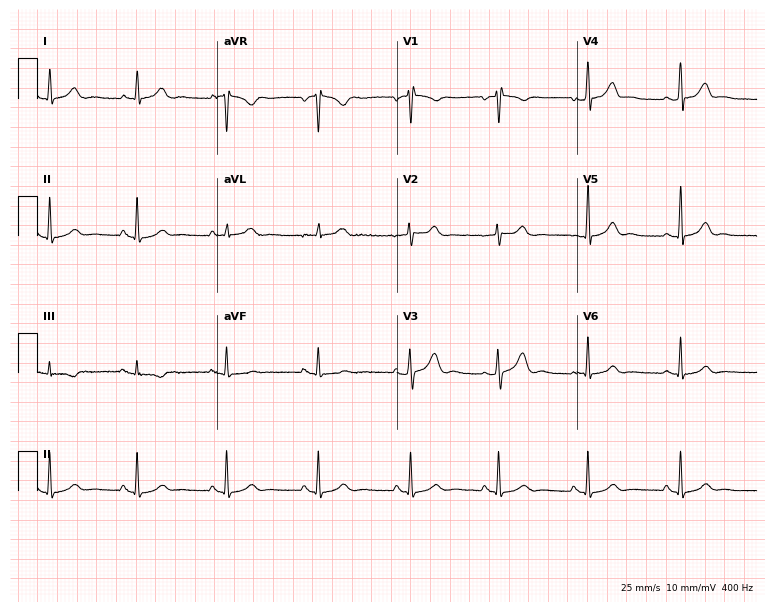
Standard 12-lead ECG recorded from a 31-year-old female (7.3-second recording at 400 Hz). Read as a normal ECG.